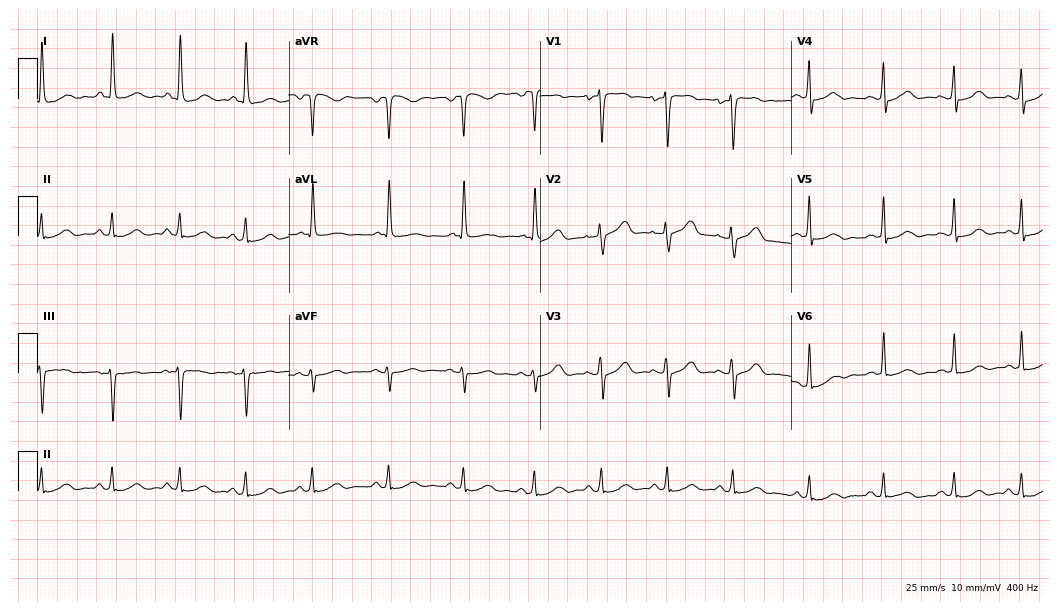
Resting 12-lead electrocardiogram (10.2-second recording at 400 Hz). Patient: a female, 72 years old. Read as a normal ECG.